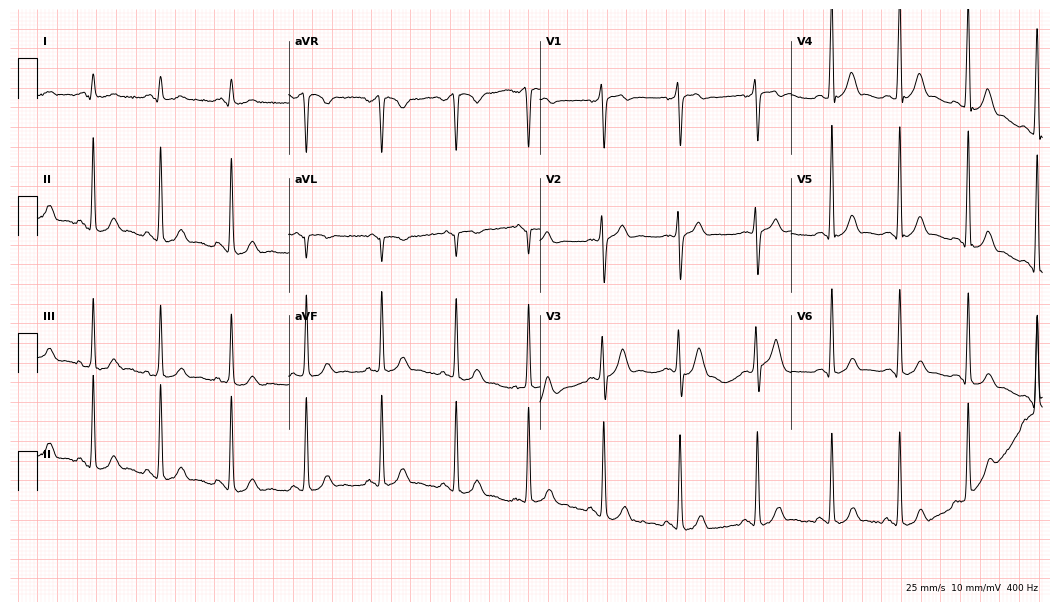
Resting 12-lead electrocardiogram. Patient: a male, 22 years old. None of these six findings is recorded: first-degree AV block, right bundle branch block, left bundle branch block, sinus bradycardia, atrial fibrillation, sinus tachycardia. Other findings, if any, are not listed.